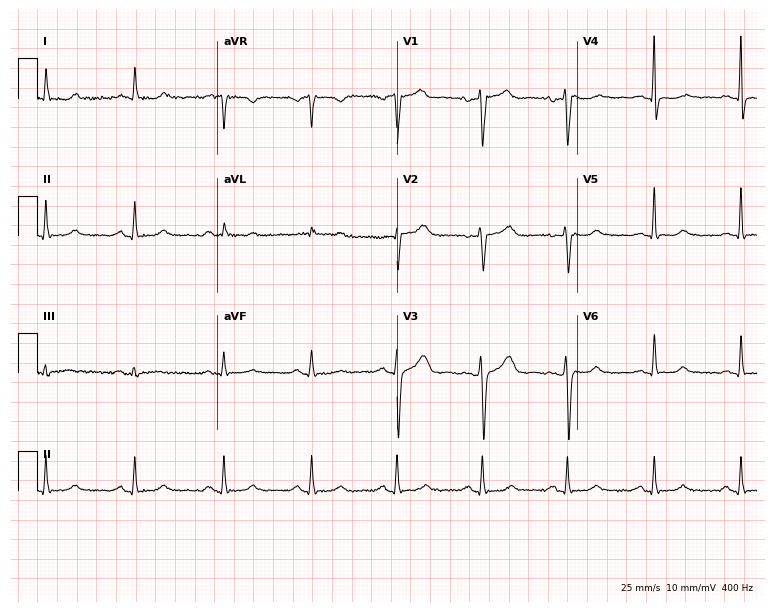
ECG — a female patient, 53 years old. Labelled as a normal ECG.